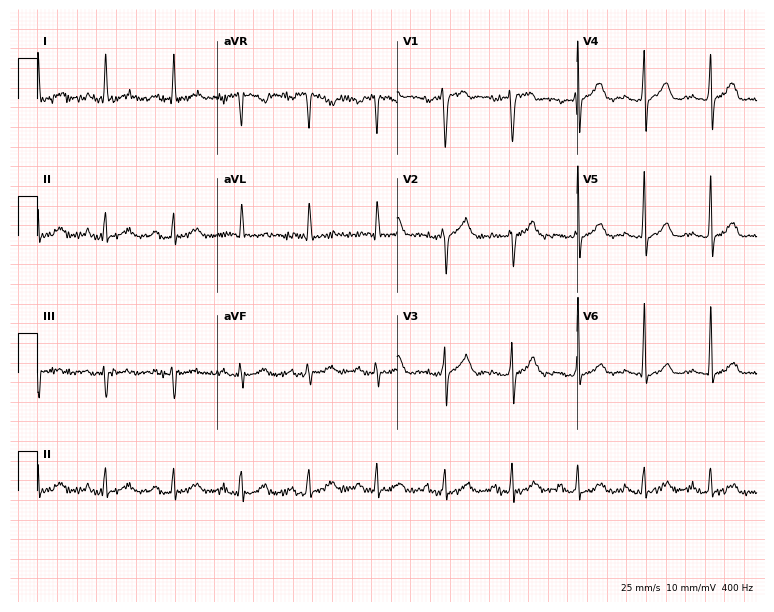
Standard 12-lead ECG recorded from a 56-year-old woman (7.3-second recording at 400 Hz). None of these six findings is recorded: first-degree AV block, right bundle branch block, left bundle branch block, sinus bradycardia, atrial fibrillation, sinus tachycardia.